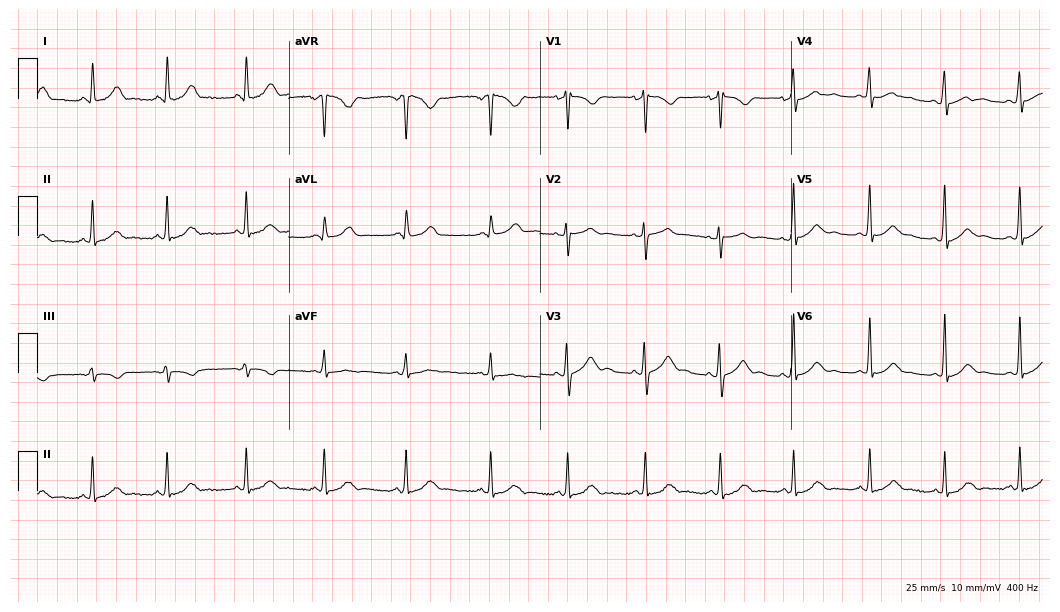
Electrocardiogram, a female patient, 37 years old. Overall reading on record: normal ECG.